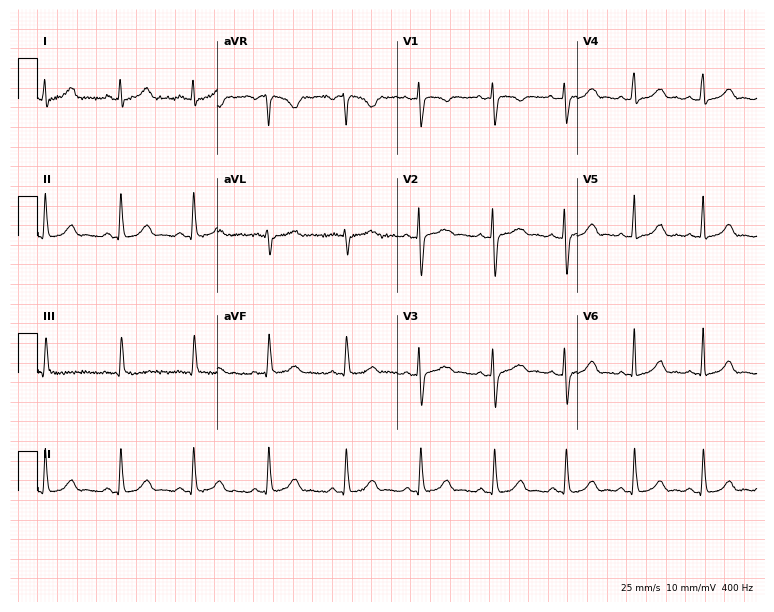
Resting 12-lead electrocardiogram. Patient: a female, 39 years old. None of these six findings is recorded: first-degree AV block, right bundle branch block, left bundle branch block, sinus bradycardia, atrial fibrillation, sinus tachycardia.